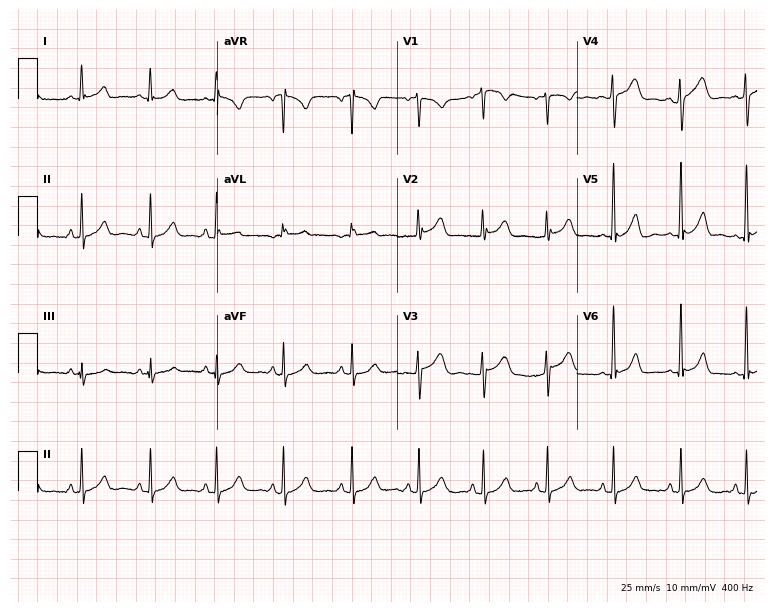
12-lead ECG from a 35-year-old woman. Screened for six findings — first-degree AV block, right bundle branch block, left bundle branch block, sinus bradycardia, atrial fibrillation, sinus tachycardia — none is recorded. Other findings, if any, are not listed.